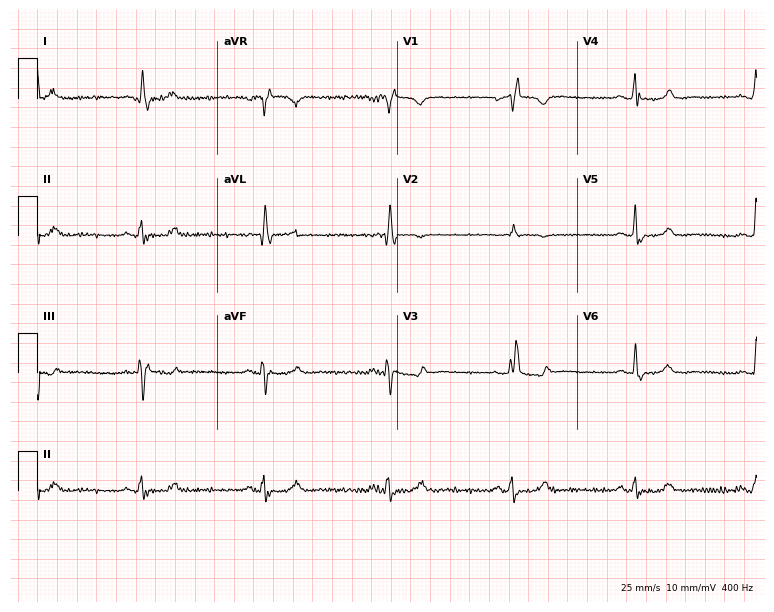
Resting 12-lead electrocardiogram (7.3-second recording at 400 Hz). Patient: a woman, 77 years old. None of these six findings is recorded: first-degree AV block, right bundle branch block, left bundle branch block, sinus bradycardia, atrial fibrillation, sinus tachycardia.